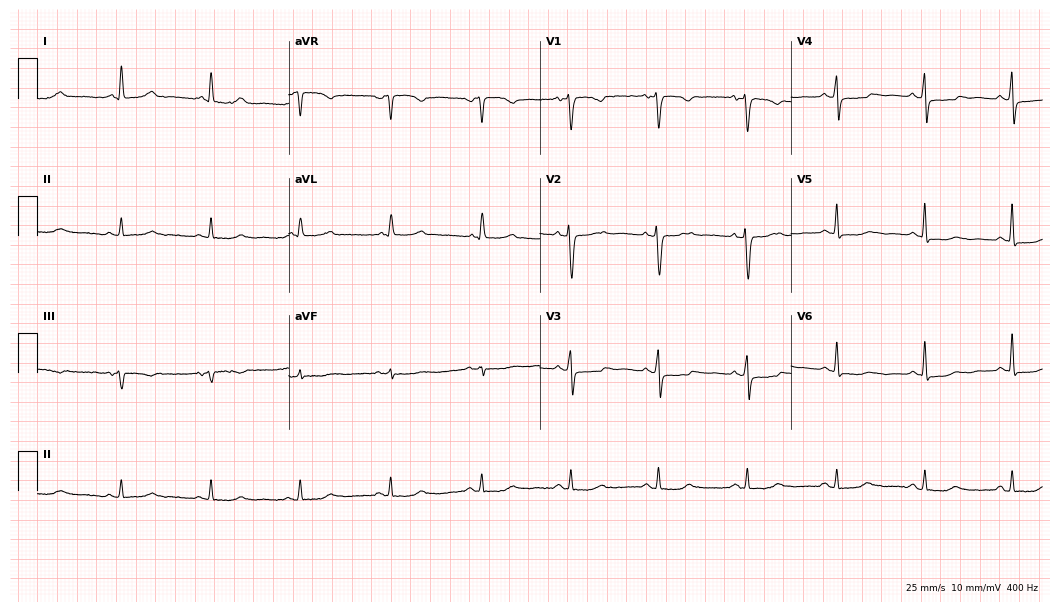
12-lead ECG from a 46-year-old woman. No first-degree AV block, right bundle branch block (RBBB), left bundle branch block (LBBB), sinus bradycardia, atrial fibrillation (AF) or sinus tachycardia recorded for this tracing. Only these six findings were labelled.